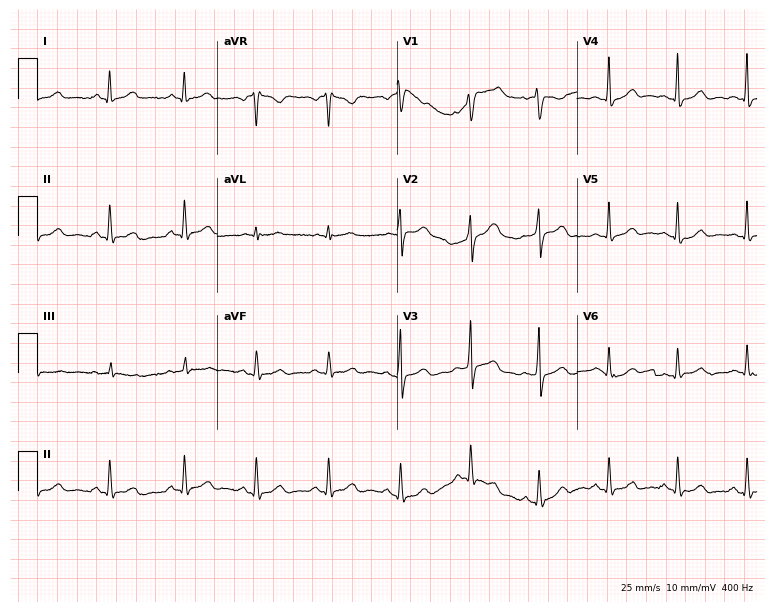
Standard 12-lead ECG recorded from a woman, 41 years old. Read as a normal ECG.